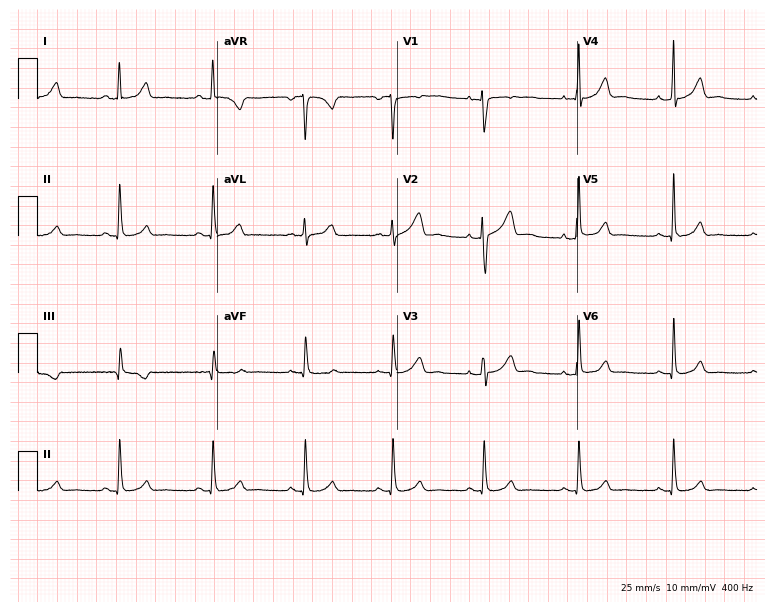
12-lead ECG from a 49-year-old woman. Labelled as a normal ECG.